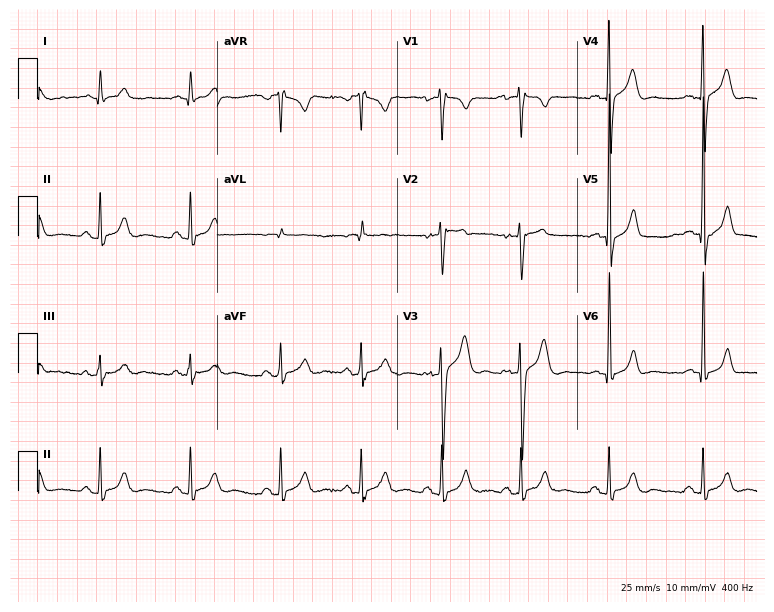
12-lead ECG from a male patient, 28 years old (7.3-second recording at 400 Hz). No first-degree AV block, right bundle branch block (RBBB), left bundle branch block (LBBB), sinus bradycardia, atrial fibrillation (AF) or sinus tachycardia recorded for this tracing.